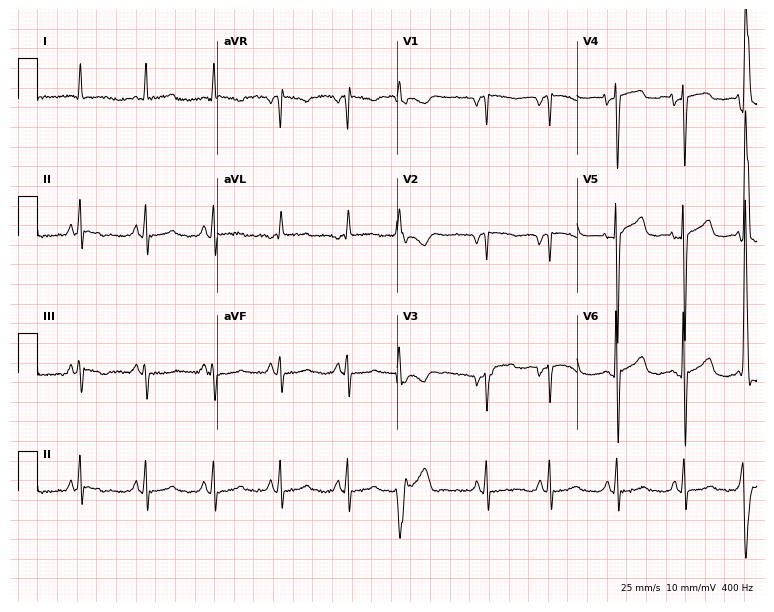
12-lead ECG from an 80-year-old woman. Screened for six findings — first-degree AV block, right bundle branch block, left bundle branch block, sinus bradycardia, atrial fibrillation, sinus tachycardia — none is recorded.